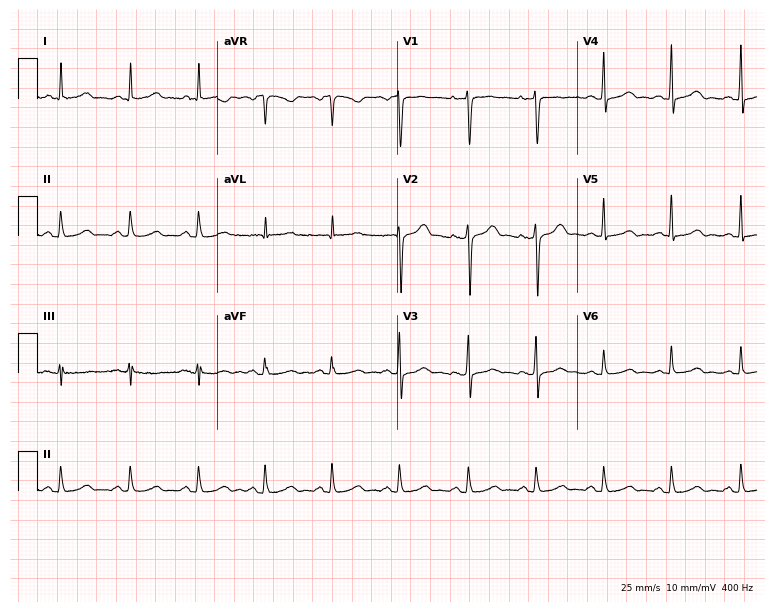
Electrocardiogram, a female patient, 54 years old. Overall reading on record: normal ECG.